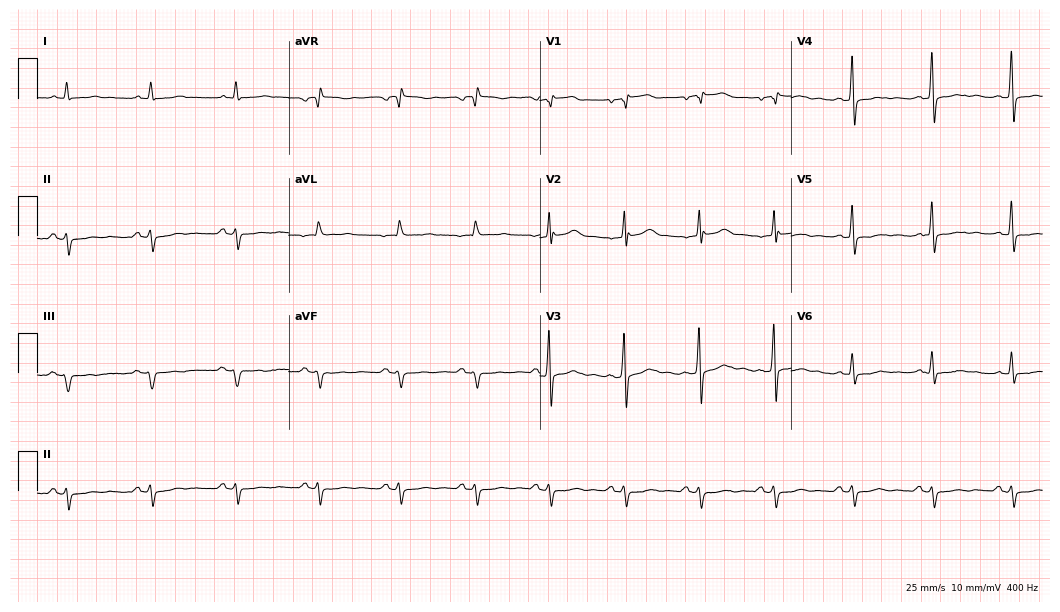
Resting 12-lead electrocardiogram. Patient: a 57-year-old female. None of these six findings is recorded: first-degree AV block, right bundle branch block, left bundle branch block, sinus bradycardia, atrial fibrillation, sinus tachycardia.